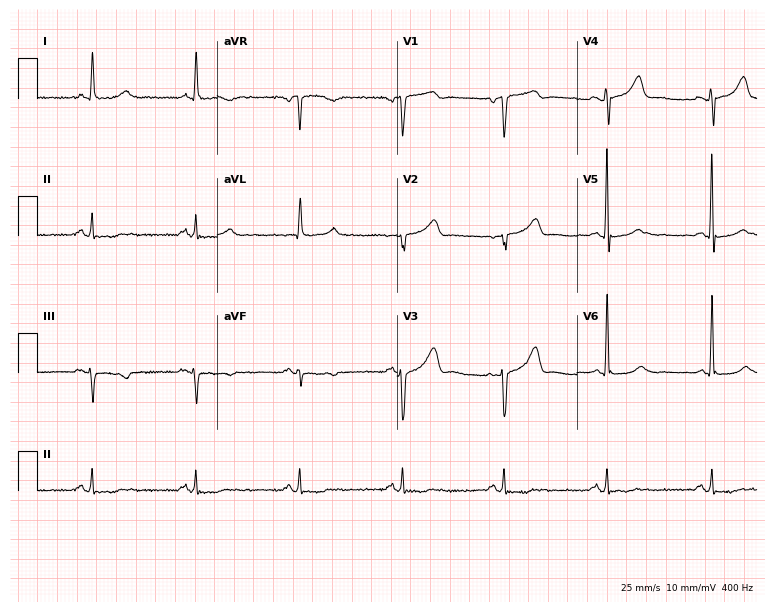
Resting 12-lead electrocardiogram (7.3-second recording at 400 Hz). Patient: a 76-year-old female. None of these six findings is recorded: first-degree AV block, right bundle branch block, left bundle branch block, sinus bradycardia, atrial fibrillation, sinus tachycardia. Findings outside these six are not listed.